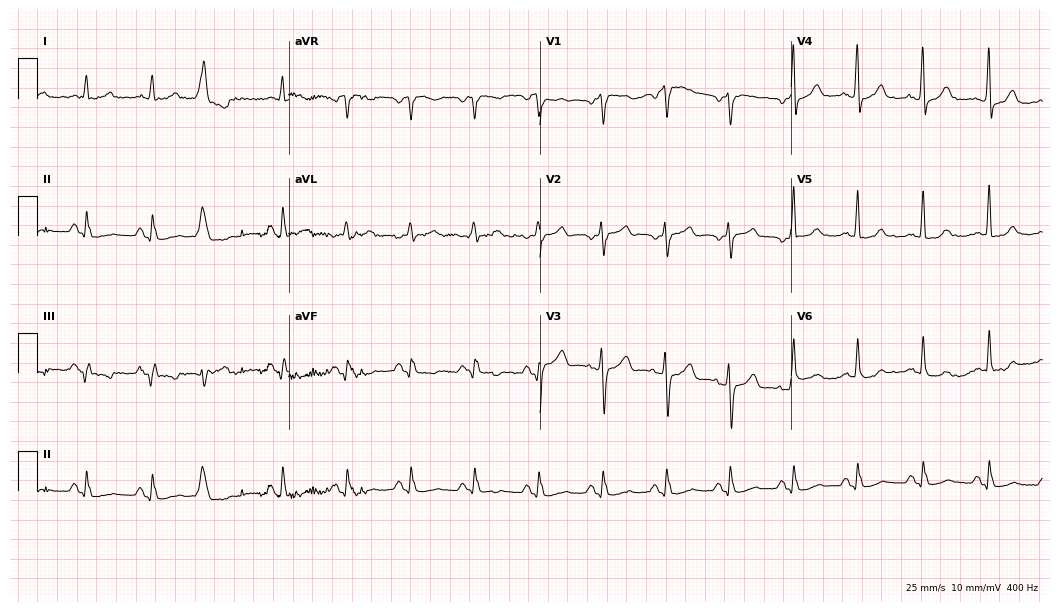
12-lead ECG (10.2-second recording at 400 Hz) from a male, 63 years old. Screened for six findings — first-degree AV block, right bundle branch block, left bundle branch block, sinus bradycardia, atrial fibrillation, sinus tachycardia — none is recorded. Findings outside these six are not listed.